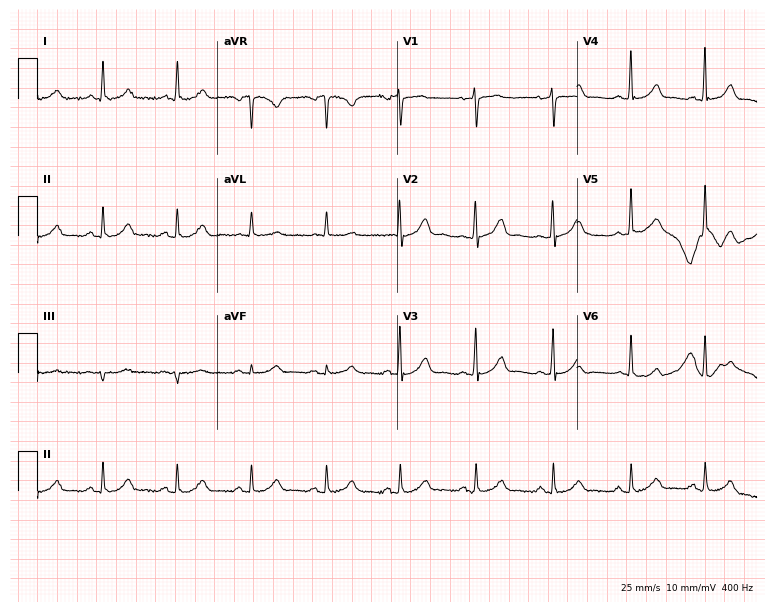
Resting 12-lead electrocardiogram. Patient: a woman, 64 years old. Read as a normal ECG.